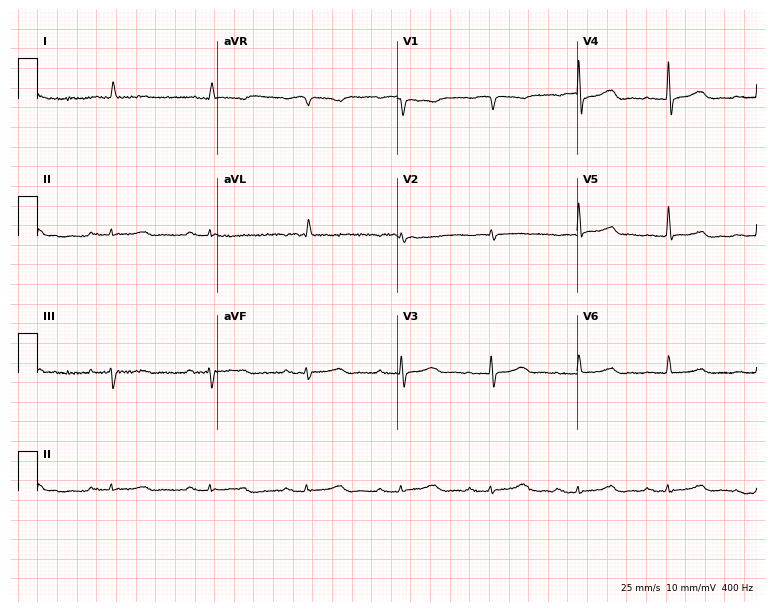
12-lead ECG from a 75-year-old female. Shows first-degree AV block.